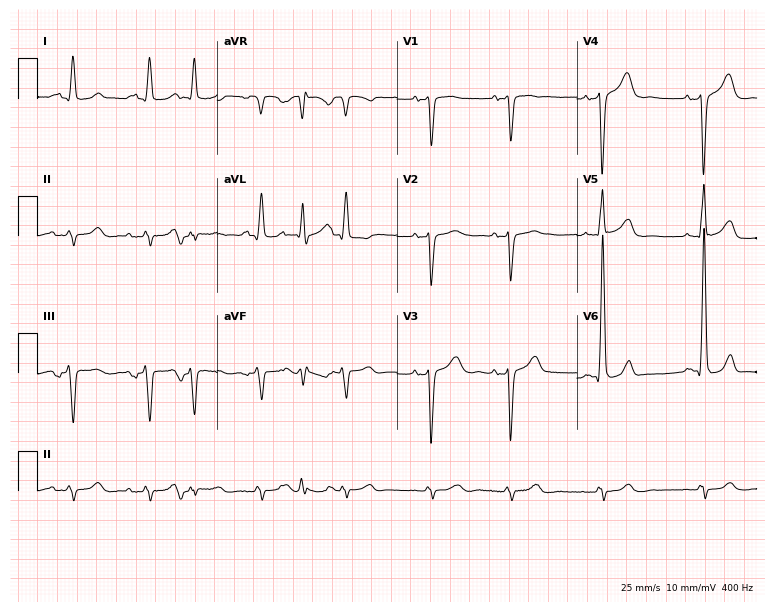
ECG (7.3-second recording at 400 Hz) — a male, 73 years old. Screened for six findings — first-degree AV block, right bundle branch block, left bundle branch block, sinus bradycardia, atrial fibrillation, sinus tachycardia — none is recorded.